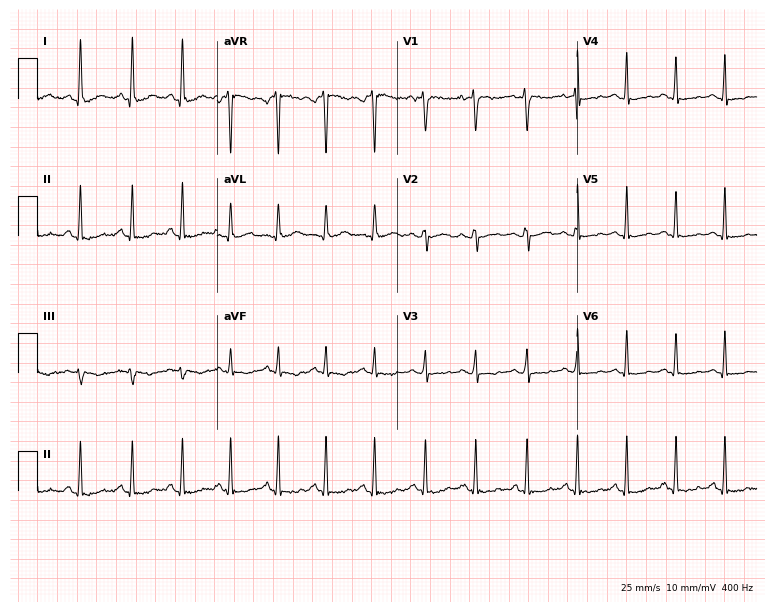
12-lead ECG from a female, 31 years old (7.3-second recording at 400 Hz). Shows sinus tachycardia (a sinus rate of 100 beats per minute or more).